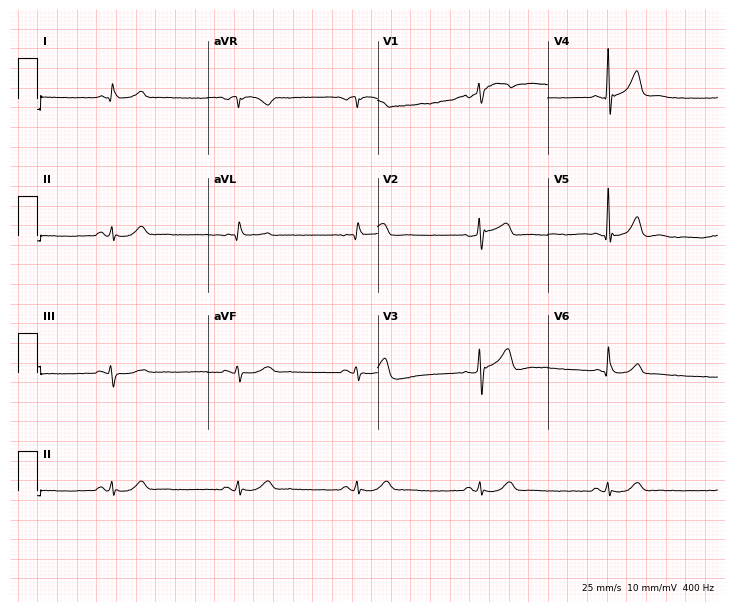
12-lead ECG from a 57-year-old female patient. Recorded interpretation: within normal limits.